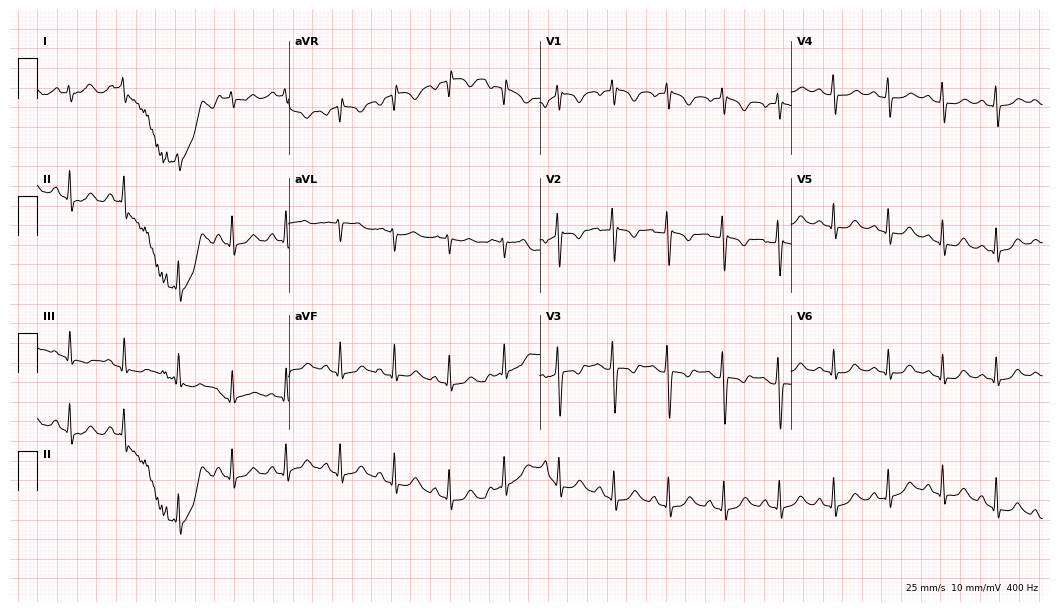
Standard 12-lead ECG recorded from a woman, 25 years old (10.2-second recording at 400 Hz). The tracing shows sinus tachycardia (a sinus rate of 100 beats per minute or more).